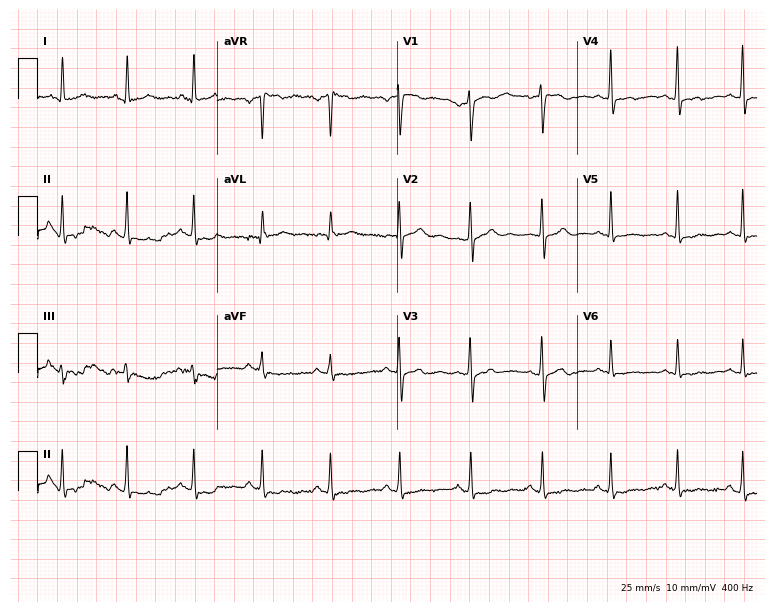
Electrocardiogram (7.3-second recording at 400 Hz), a woman, 47 years old. Overall reading on record: normal ECG.